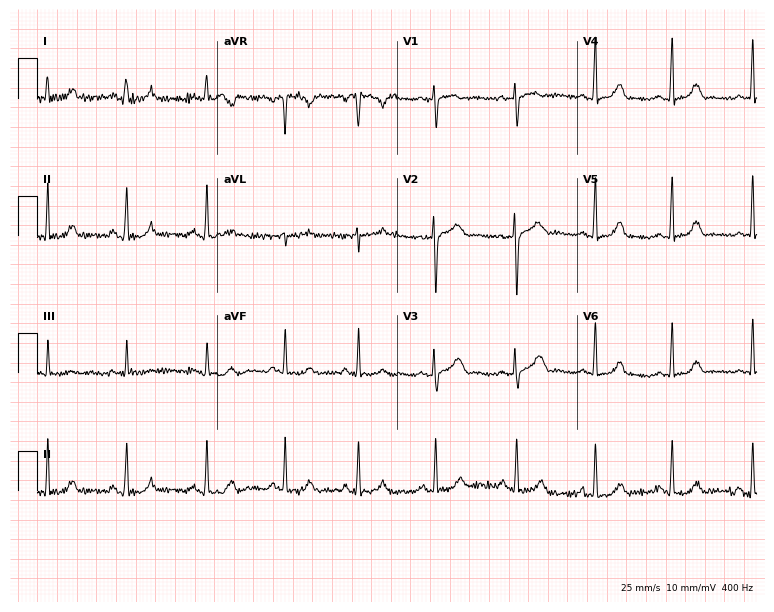
ECG (7.3-second recording at 400 Hz) — a 20-year-old woman. Screened for six findings — first-degree AV block, right bundle branch block (RBBB), left bundle branch block (LBBB), sinus bradycardia, atrial fibrillation (AF), sinus tachycardia — none is recorded. Other findings, if any, are not listed.